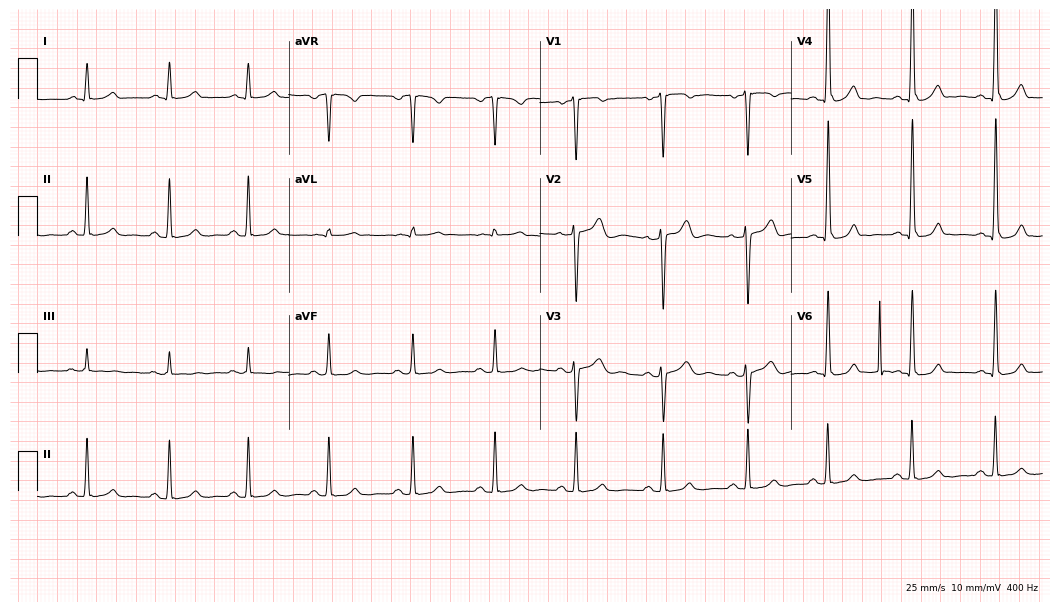
12-lead ECG from a 32-year-old male patient. Recorded interpretation: within normal limits.